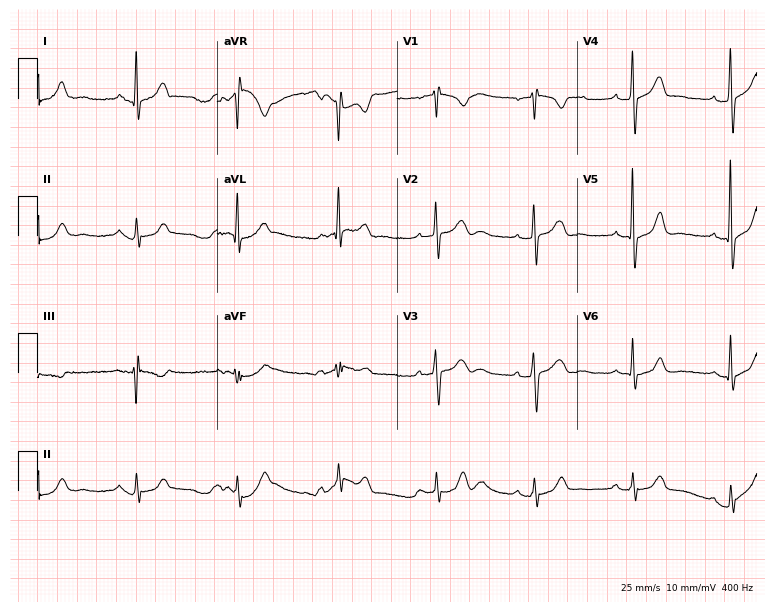
Resting 12-lead electrocardiogram (7.3-second recording at 400 Hz). Patient: a 65-year-old male. None of these six findings is recorded: first-degree AV block, right bundle branch block, left bundle branch block, sinus bradycardia, atrial fibrillation, sinus tachycardia.